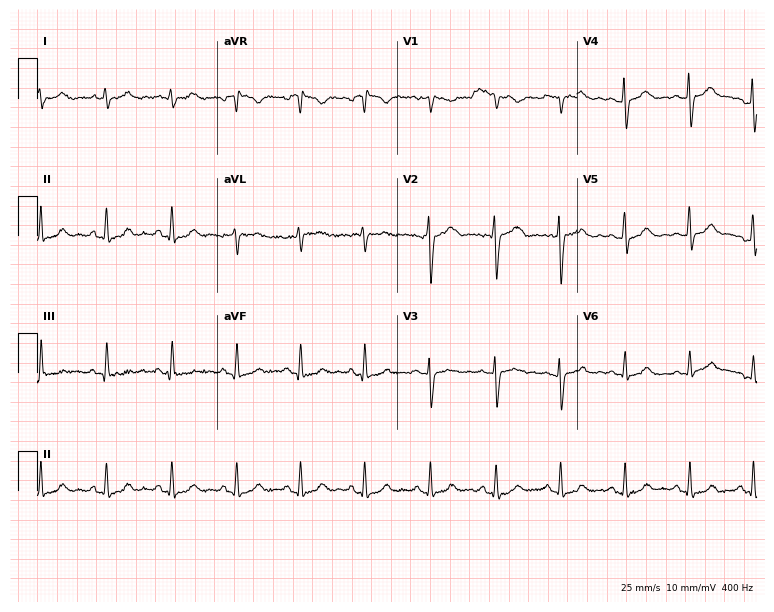
Standard 12-lead ECG recorded from a 45-year-old female patient (7.3-second recording at 400 Hz). Read as a normal ECG.